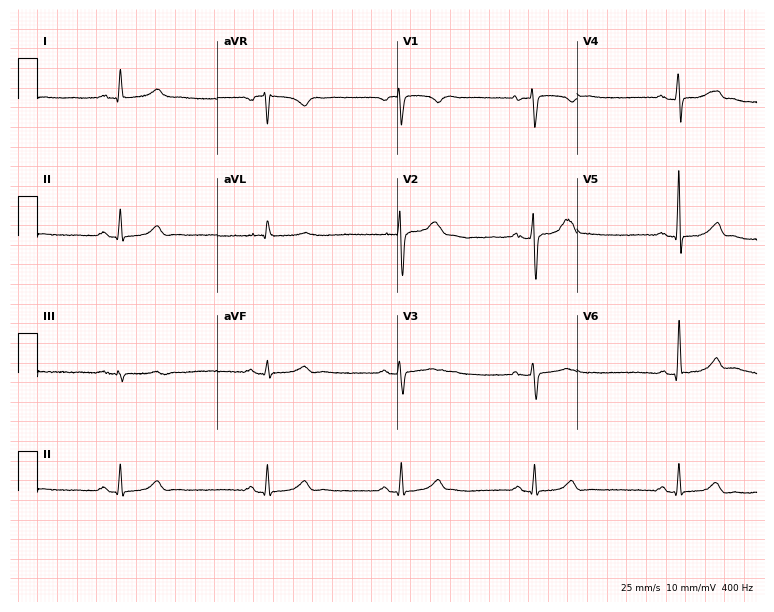
12-lead ECG from a 51-year-old man. Findings include sinus bradycardia (a sinus rate of 50 beats per minute or less).